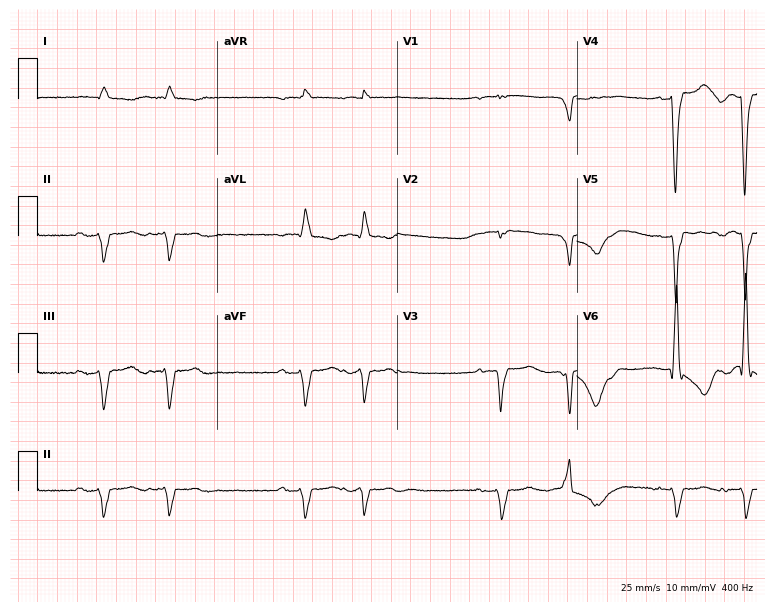
ECG — a male patient, 84 years old. Screened for six findings — first-degree AV block, right bundle branch block (RBBB), left bundle branch block (LBBB), sinus bradycardia, atrial fibrillation (AF), sinus tachycardia — none is recorded.